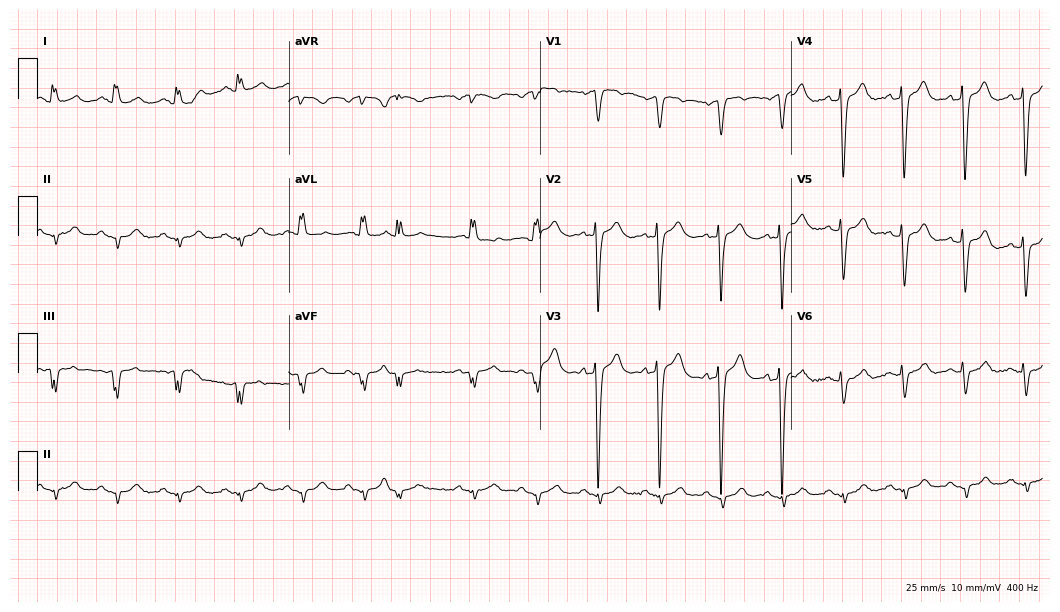
12-lead ECG from a man, 68 years old. Screened for six findings — first-degree AV block, right bundle branch block, left bundle branch block, sinus bradycardia, atrial fibrillation, sinus tachycardia — none is recorded. Other findings, if any, are not listed.